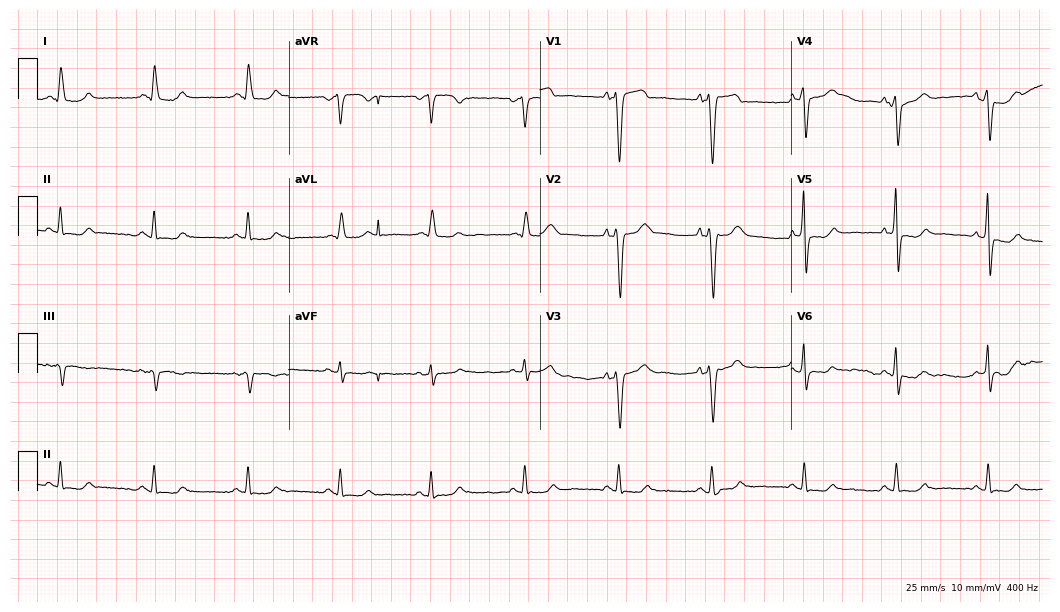
Electrocardiogram (10.2-second recording at 400 Hz), a 64-year-old man. Of the six screened findings (first-degree AV block, right bundle branch block, left bundle branch block, sinus bradycardia, atrial fibrillation, sinus tachycardia), none is recorded. Only these six findings were labelled.